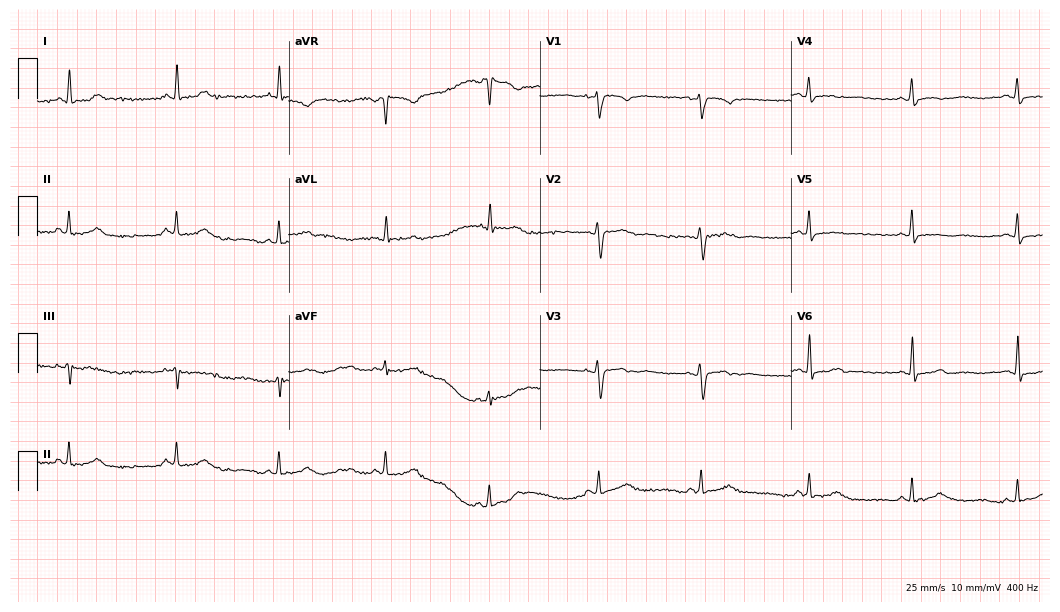
12-lead ECG from a 41-year-old female patient. Screened for six findings — first-degree AV block, right bundle branch block, left bundle branch block, sinus bradycardia, atrial fibrillation, sinus tachycardia — none is recorded. Only these six findings were labelled.